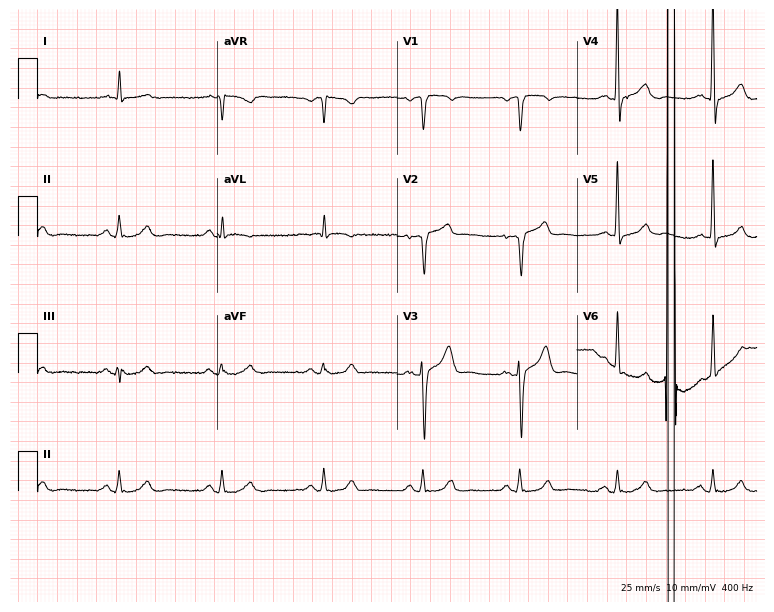
12-lead ECG from a 68-year-old male (7.3-second recording at 400 Hz). Recorded interpretation: within normal limits.